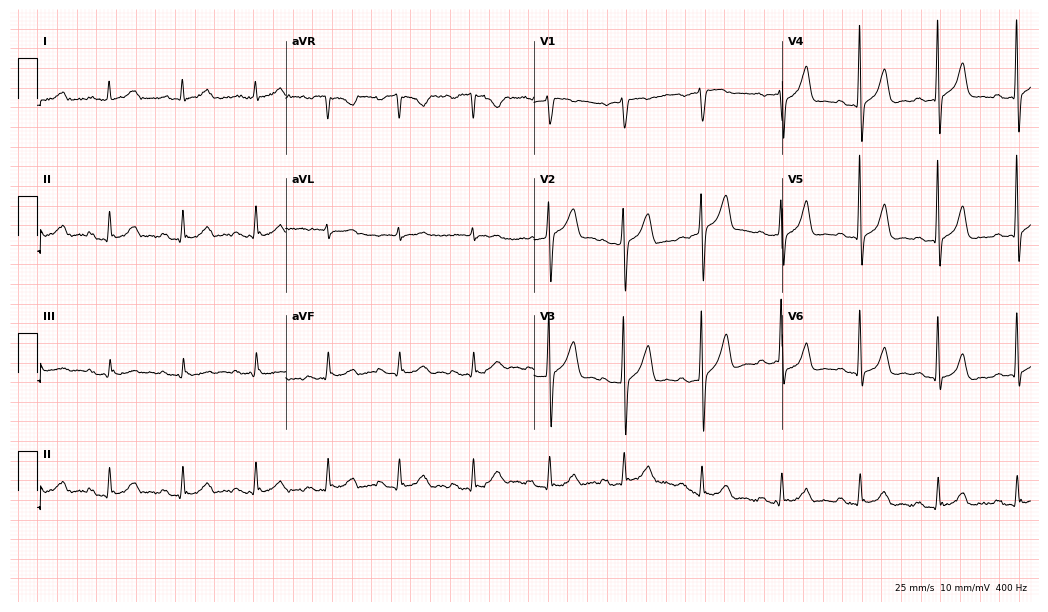
ECG (10.1-second recording at 400 Hz) — a male, 70 years old. Findings include first-degree AV block.